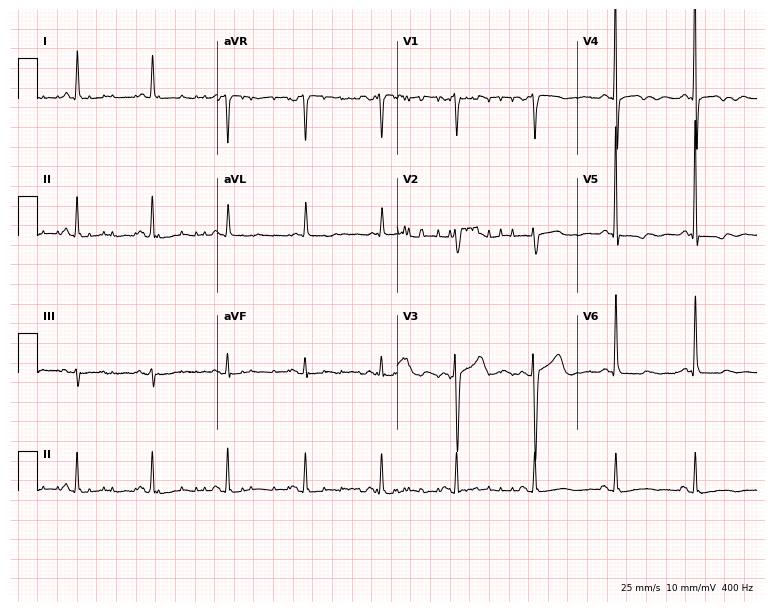
Electrocardiogram, a woman, 48 years old. Of the six screened findings (first-degree AV block, right bundle branch block (RBBB), left bundle branch block (LBBB), sinus bradycardia, atrial fibrillation (AF), sinus tachycardia), none is recorded.